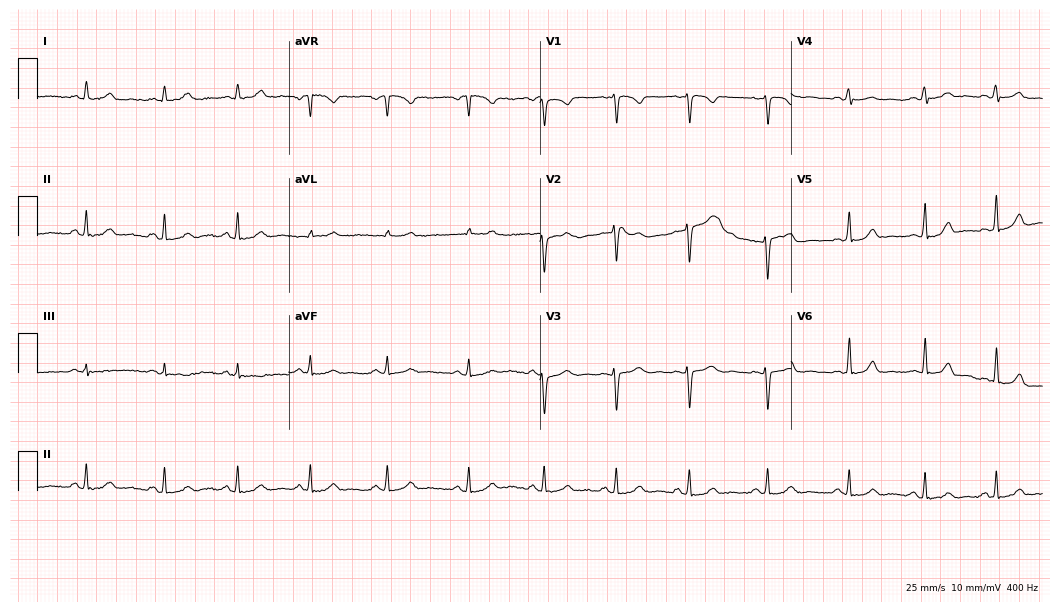
12-lead ECG from a woman, 19 years old. Labelled as a normal ECG.